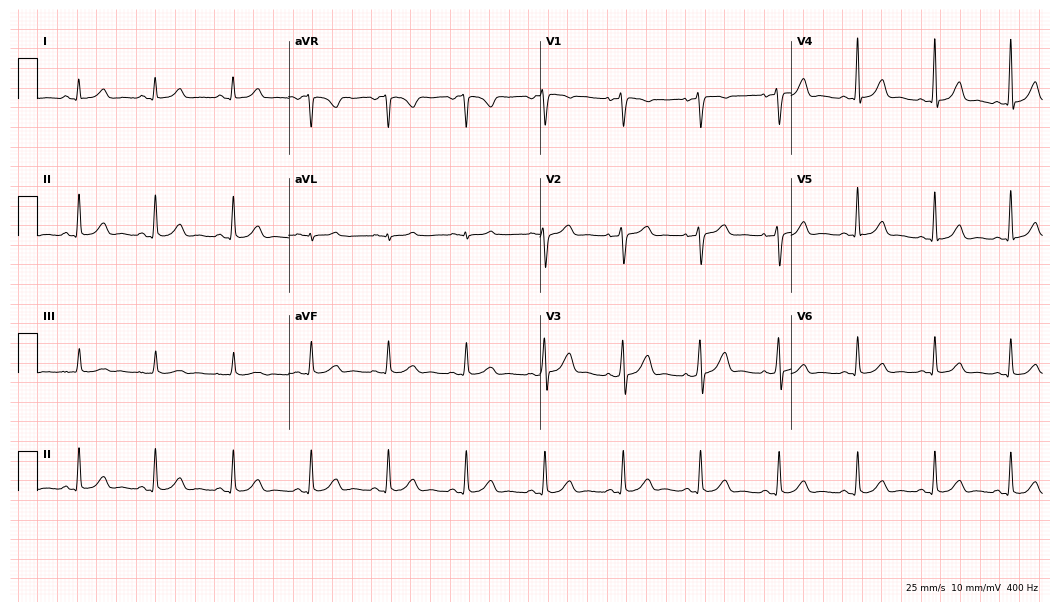
Standard 12-lead ECG recorded from a woman, 40 years old. None of these six findings is recorded: first-degree AV block, right bundle branch block, left bundle branch block, sinus bradycardia, atrial fibrillation, sinus tachycardia.